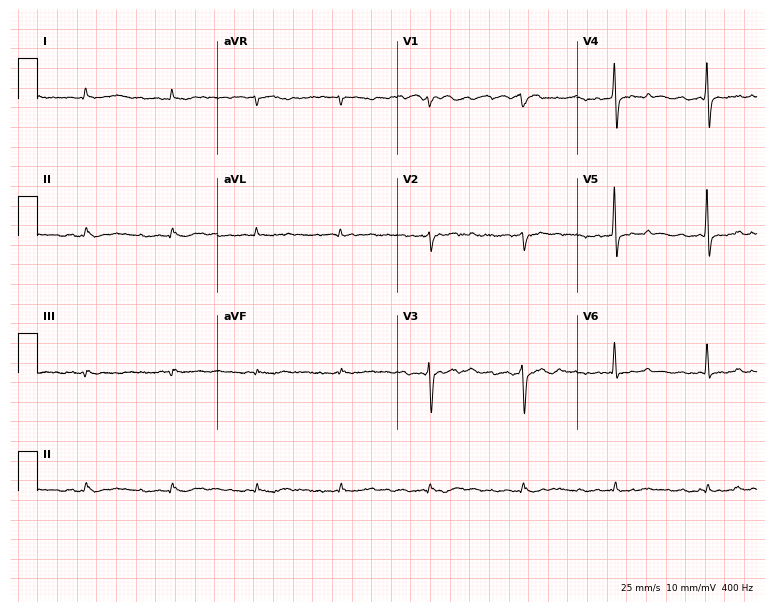
Standard 12-lead ECG recorded from a 78-year-old man (7.3-second recording at 400 Hz). The tracing shows atrial fibrillation.